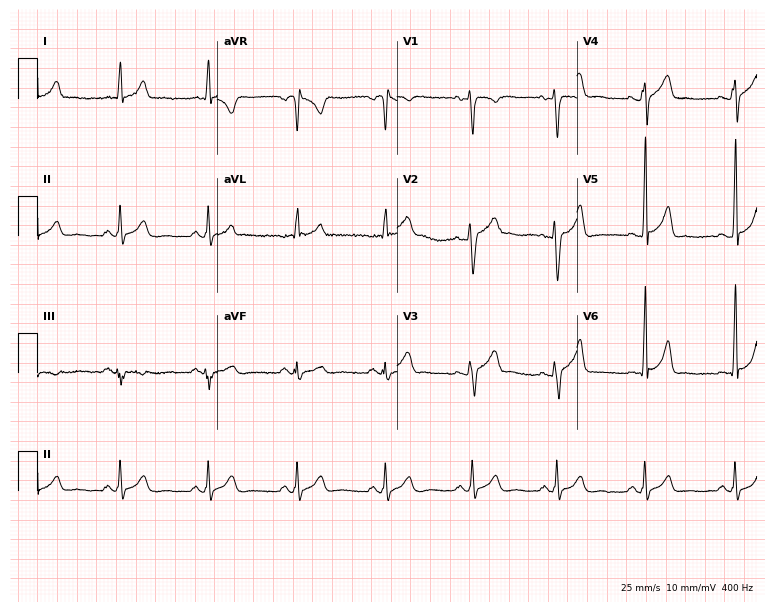
12-lead ECG from a 41-year-old male patient (7.3-second recording at 400 Hz). Recorded interpretation: within normal limits.